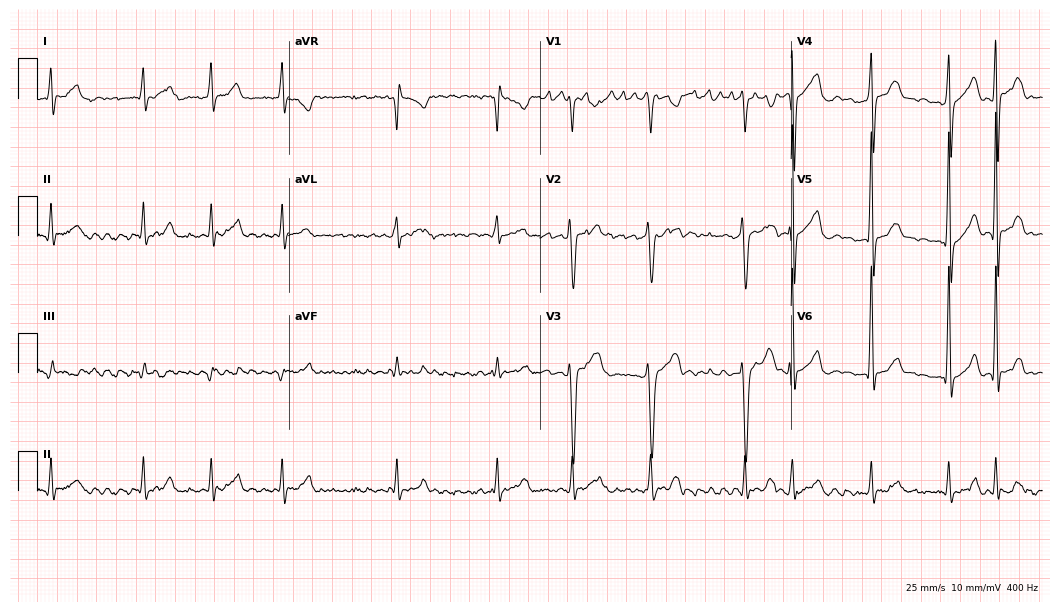
12-lead ECG from a man, 32 years old. Findings include atrial fibrillation.